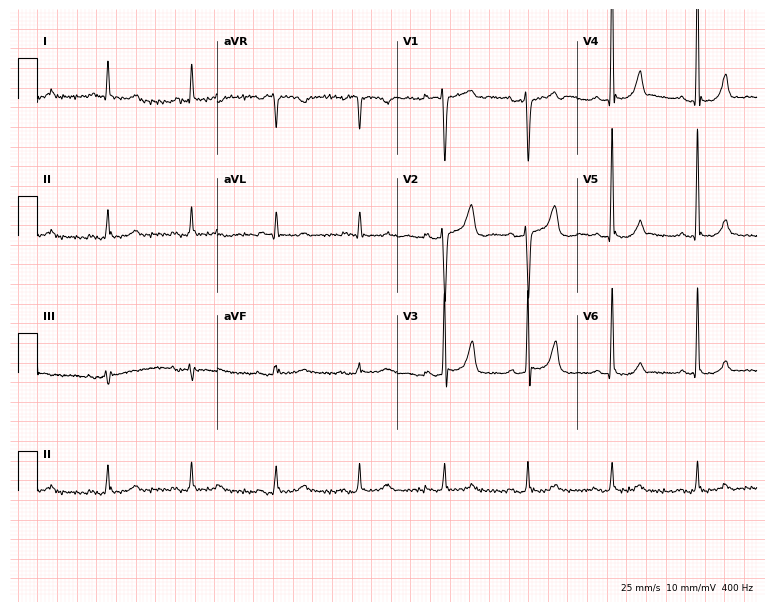
12-lead ECG from a 63-year-old male. No first-degree AV block, right bundle branch block, left bundle branch block, sinus bradycardia, atrial fibrillation or sinus tachycardia recorded for this tracing.